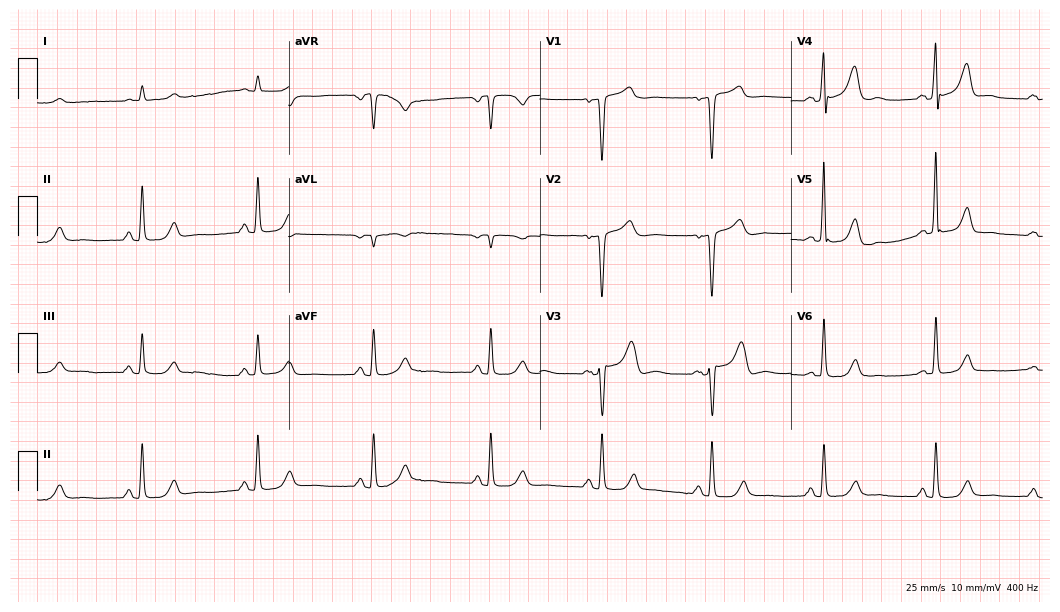
12-lead ECG (10.2-second recording at 400 Hz) from a male, 59 years old. Screened for six findings — first-degree AV block, right bundle branch block (RBBB), left bundle branch block (LBBB), sinus bradycardia, atrial fibrillation (AF), sinus tachycardia — none is recorded.